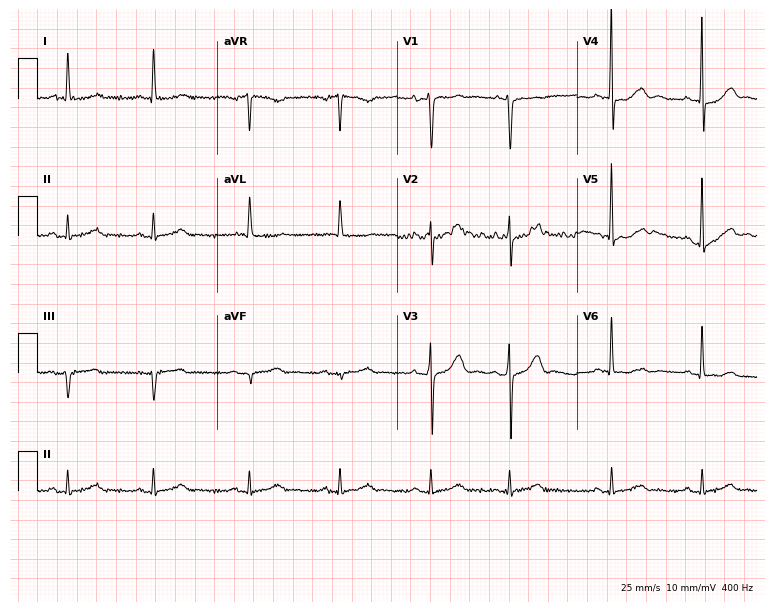
Standard 12-lead ECG recorded from a female, 72 years old. Read as a normal ECG.